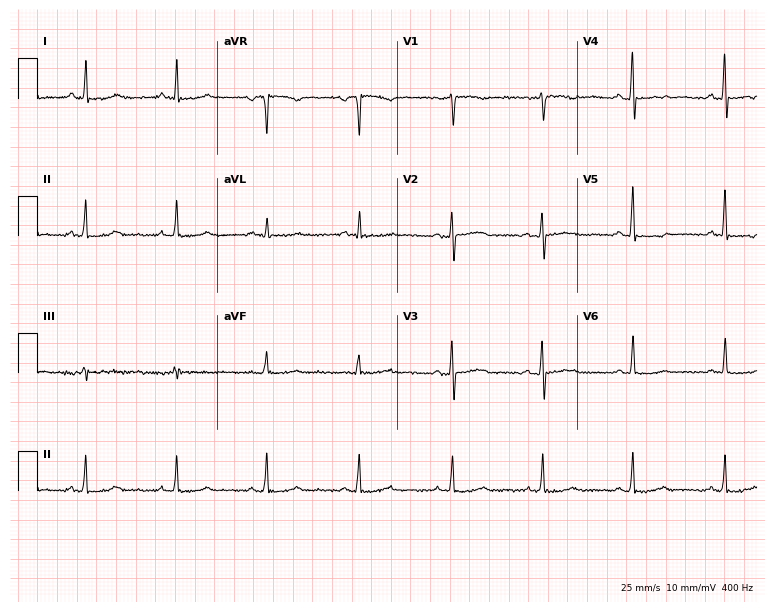
12-lead ECG (7.3-second recording at 400 Hz) from a female patient, 51 years old. Screened for six findings — first-degree AV block, right bundle branch block (RBBB), left bundle branch block (LBBB), sinus bradycardia, atrial fibrillation (AF), sinus tachycardia — none is recorded. Only these six findings were labelled.